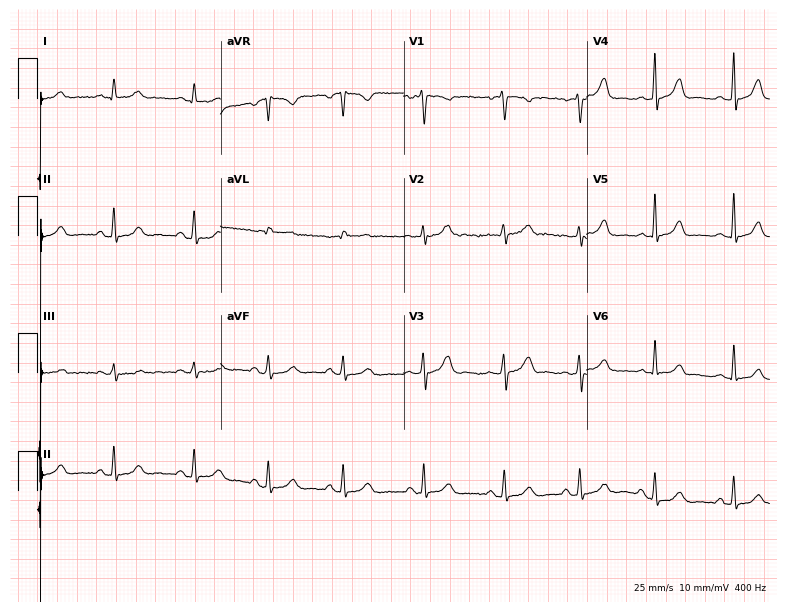
Electrocardiogram, a female, 25 years old. Of the six screened findings (first-degree AV block, right bundle branch block (RBBB), left bundle branch block (LBBB), sinus bradycardia, atrial fibrillation (AF), sinus tachycardia), none is recorded. Only these six findings were labelled.